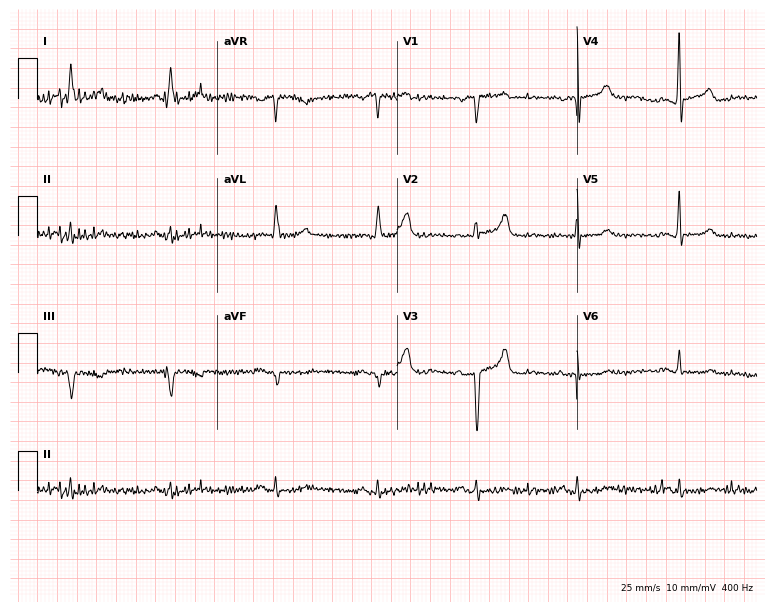
Resting 12-lead electrocardiogram (7.3-second recording at 400 Hz). Patient: a man, 84 years old. None of these six findings is recorded: first-degree AV block, right bundle branch block, left bundle branch block, sinus bradycardia, atrial fibrillation, sinus tachycardia. Only these six findings were labelled.